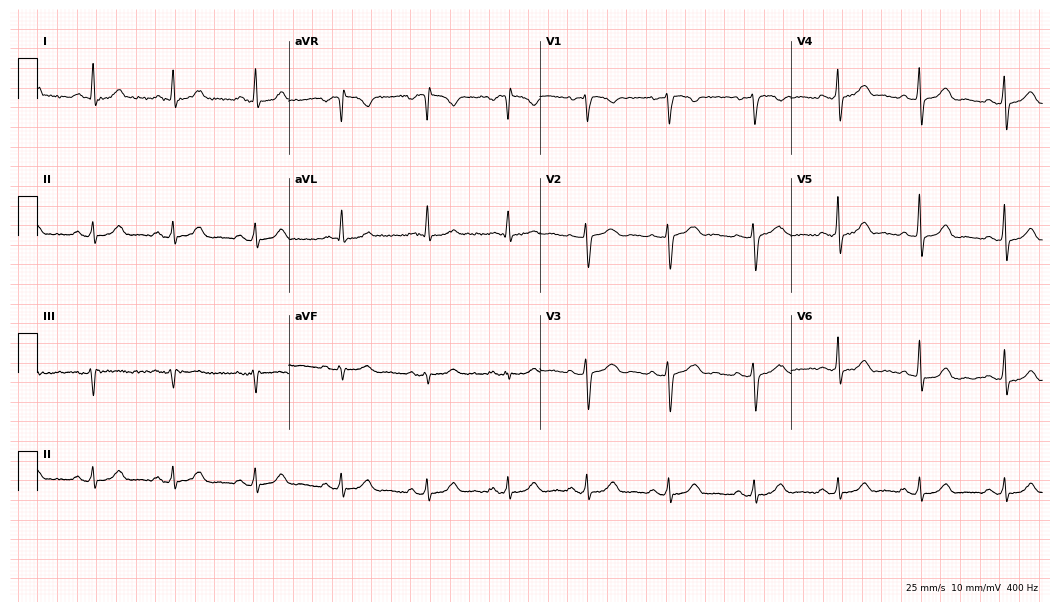
Standard 12-lead ECG recorded from a 51-year-old woman (10.2-second recording at 400 Hz). Read as a normal ECG.